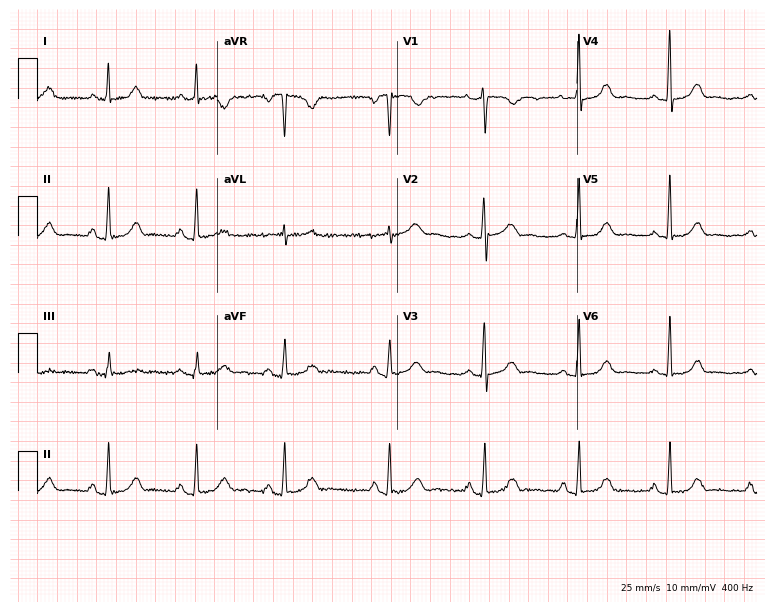
ECG — a 50-year-old female. Labelled as a normal ECG.